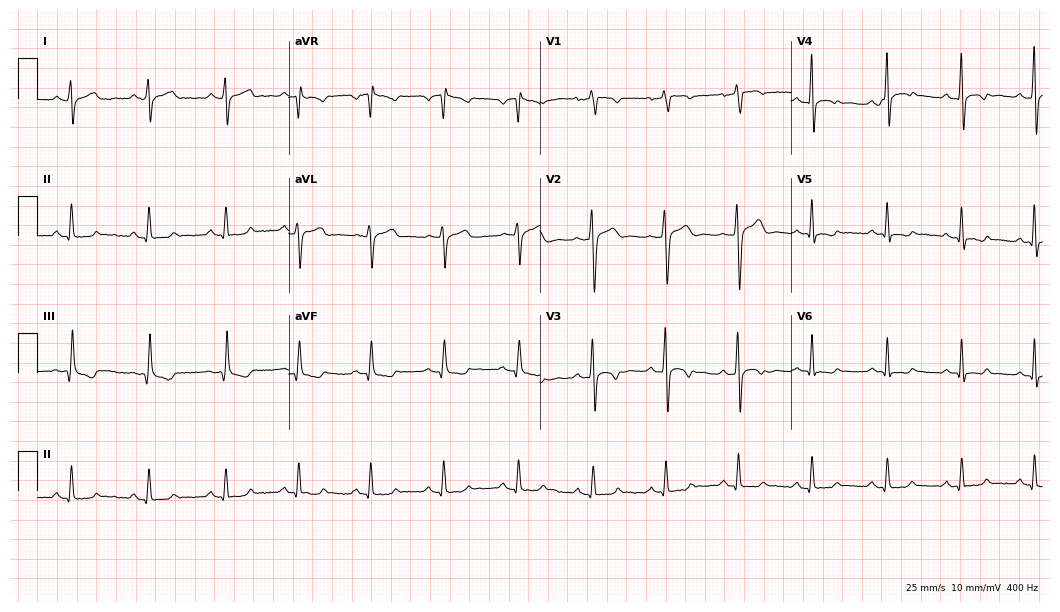
12-lead ECG from a 34-year-old man. Screened for six findings — first-degree AV block, right bundle branch block (RBBB), left bundle branch block (LBBB), sinus bradycardia, atrial fibrillation (AF), sinus tachycardia — none is recorded. Other findings, if any, are not listed.